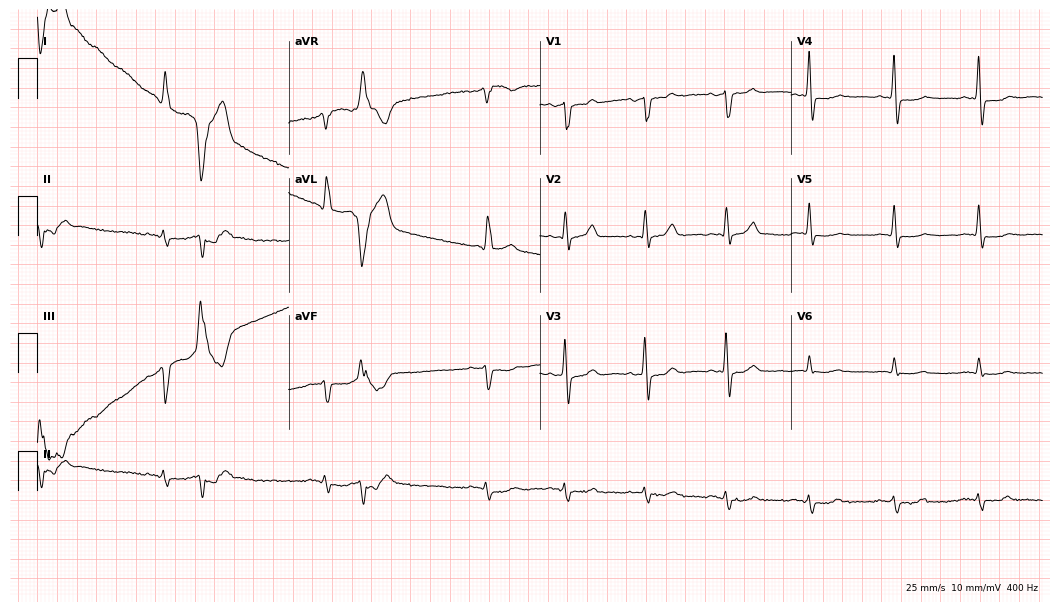
Electrocardiogram, a 73-year-old man. Of the six screened findings (first-degree AV block, right bundle branch block, left bundle branch block, sinus bradycardia, atrial fibrillation, sinus tachycardia), none is recorded.